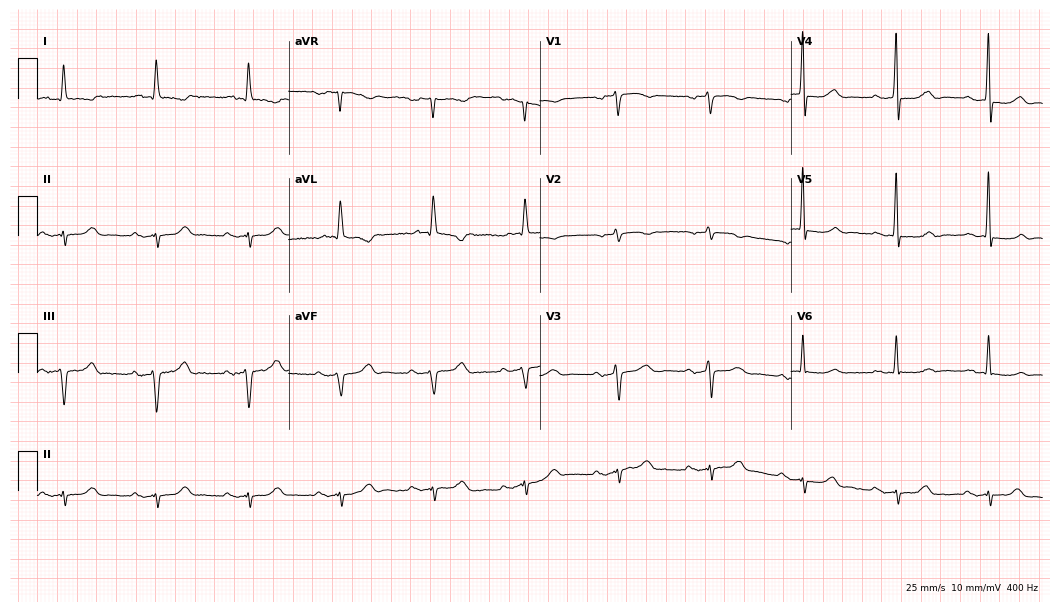
Electrocardiogram, a 73-year-old woman. Interpretation includes first-degree AV block.